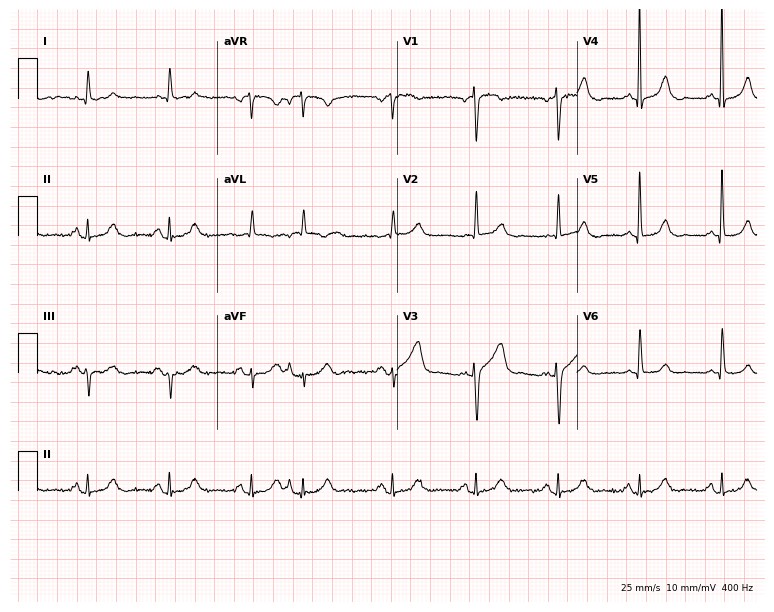
Electrocardiogram, an 83-year-old woman. Of the six screened findings (first-degree AV block, right bundle branch block (RBBB), left bundle branch block (LBBB), sinus bradycardia, atrial fibrillation (AF), sinus tachycardia), none is recorded.